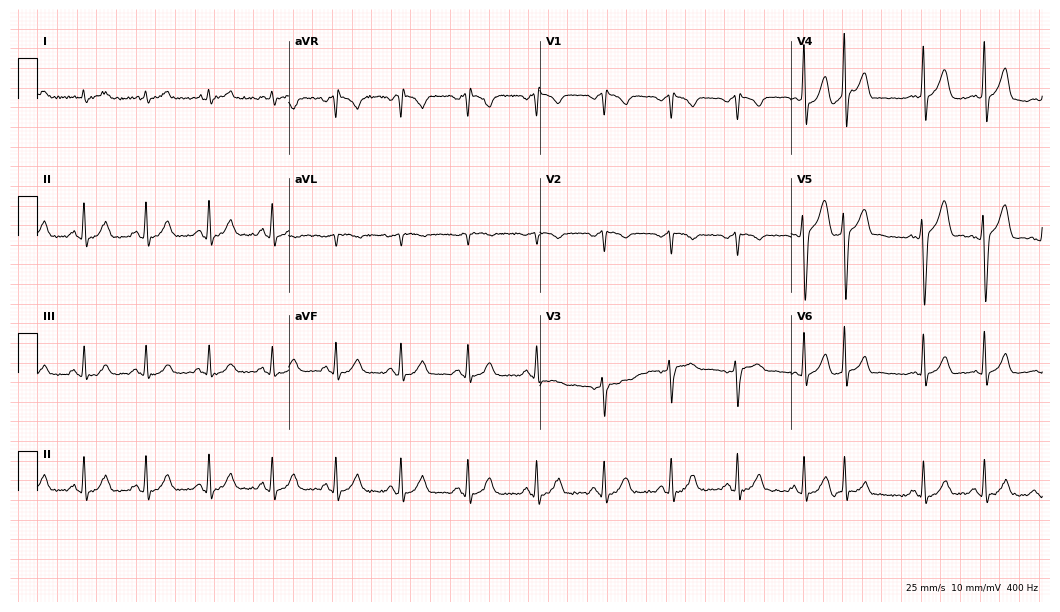
Electrocardiogram, a 46-year-old male patient. Overall reading on record: normal ECG.